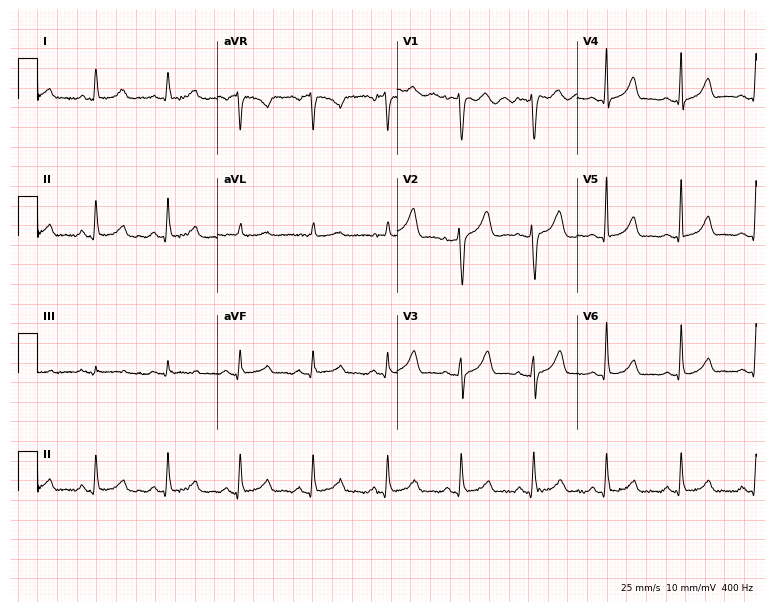
12-lead ECG from a female patient, 50 years old. Recorded interpretation: within normal limits.